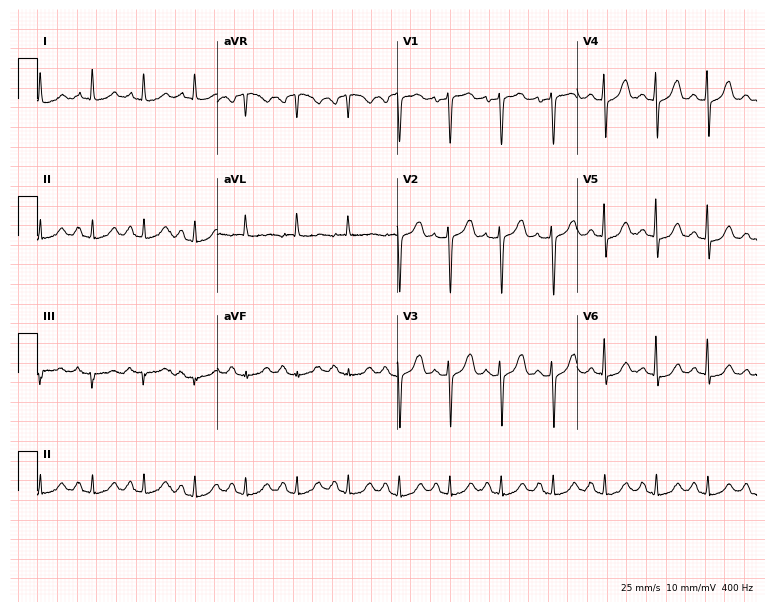
Resting 12-lead electrocardiogram (7.3-second recording at 400 Hz). Patient: a female, 75 years old. The tracing shows sinus tachycardia (a sinus rate of 100 beats per minute or more).